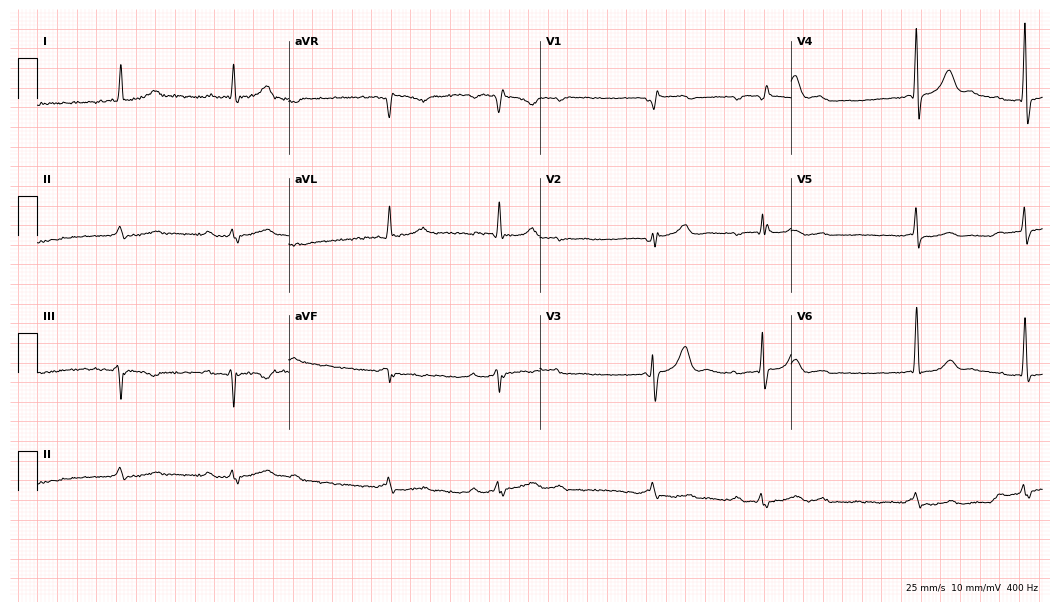
Resting 12-lead electrocardiogram. Patient: a 79-year-old male. None of these six findings is recorded: first-degree AV block, right bundle branch block, left bundle branch block, sinus bradycardia, atrial fibrillation, sinus tachycardia.